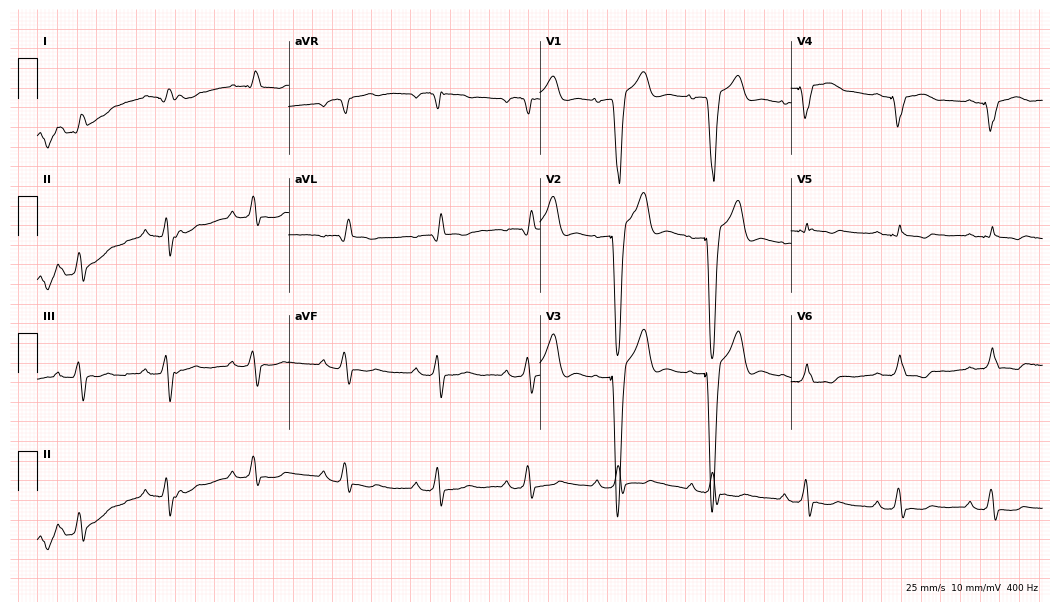
Electrocardiogram (10.2-second recording at 400 Hz), a woman, 79 years old. Of the six screened findings (first-degree AV block, right bundle branch block (RBBB), left bundle branch block (LBBB), sinus bradycardia, atrial fibrillation (AF), sinus tachycardia), none is recorded. Findings outside these six are not listed.